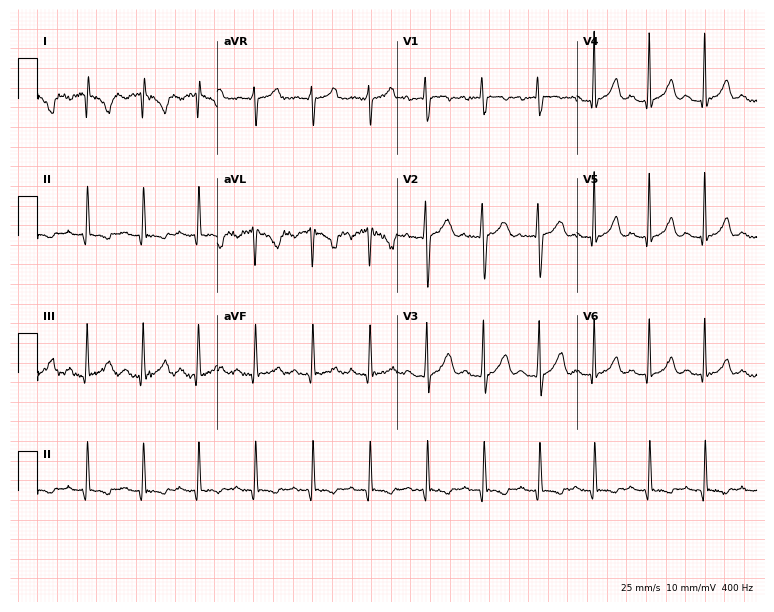
Standard 12-lead ECG recorded from a 22-year-old female. None of these six findings is recorded: first-degree AV block, right bundle branch block (RBBB), left bundle branch block (LBBB), sinus bradycardia, atrial fibrillation (AF), sinus tachycardia.